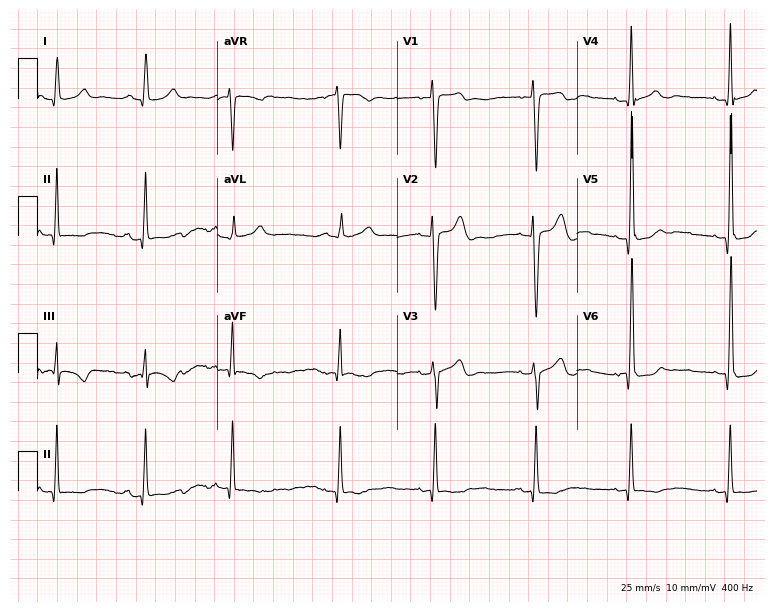
Resting 12-lead electrocardiogram. Patient: a man, 21 years old. None of these six findings is recorded: first-degree AV block, right bundle branch block, left bundle branch block, sinus bradycardia, atrial fibrillation, sinus tachycardia. Findings outside these six are not listed.